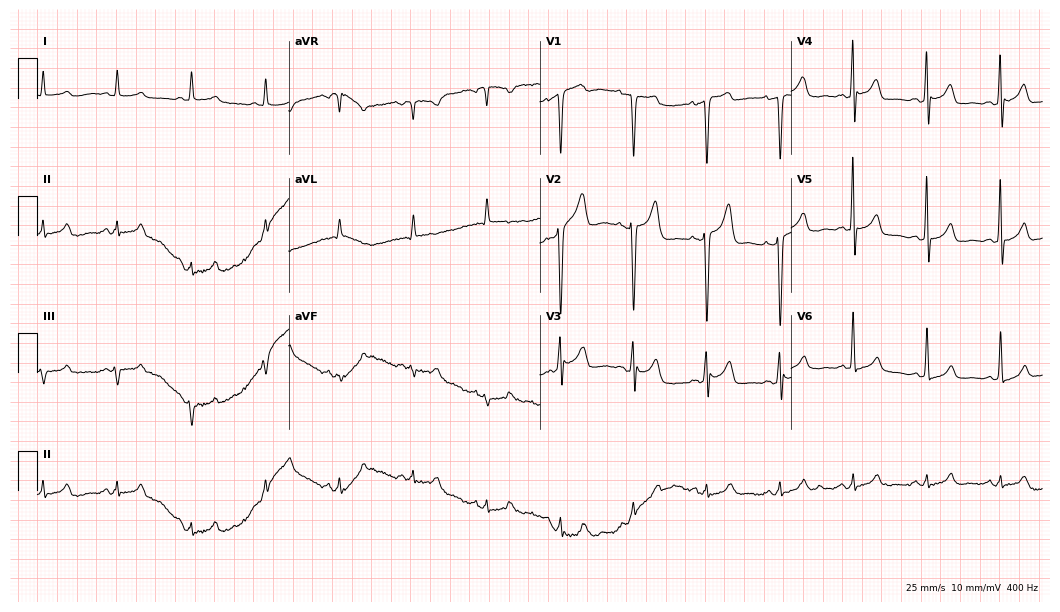
Resting 12-lead electrocardiogram. Patient: a male, 82 years old. Read as a normal ECG.